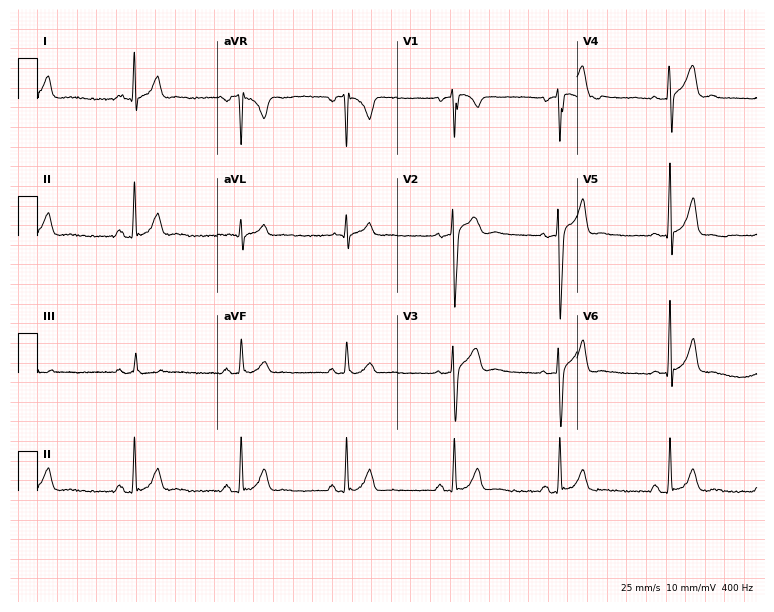
12-lead ECG from a 28-year-old male patient (7.3-second recording at 400 Hz). No first-degree AV block, right bundle branch block, left bundle branch block, sinus bradycardia, atrial fibrillation or sinus tachycardia recorded for this tracing.